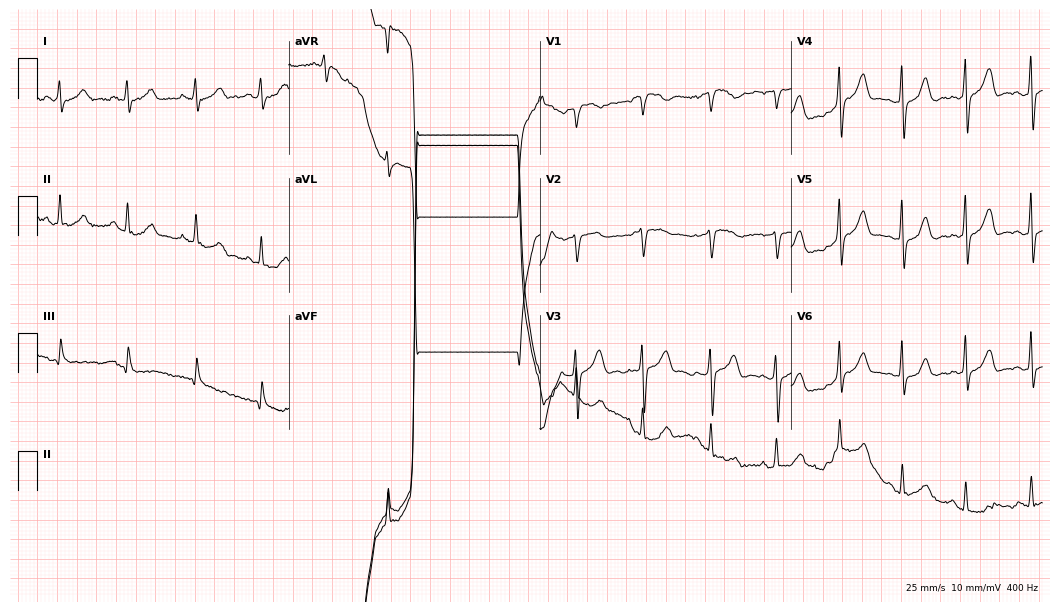
12-lead ECG from a 47-year-old female patient (10.2-second recording at 400 Hz). No first-degree AV block, right bundle branch block, left bundle branch block, sinus bradycardia, atrial fibrillation or sinus tachycardia recorded for this tracing.